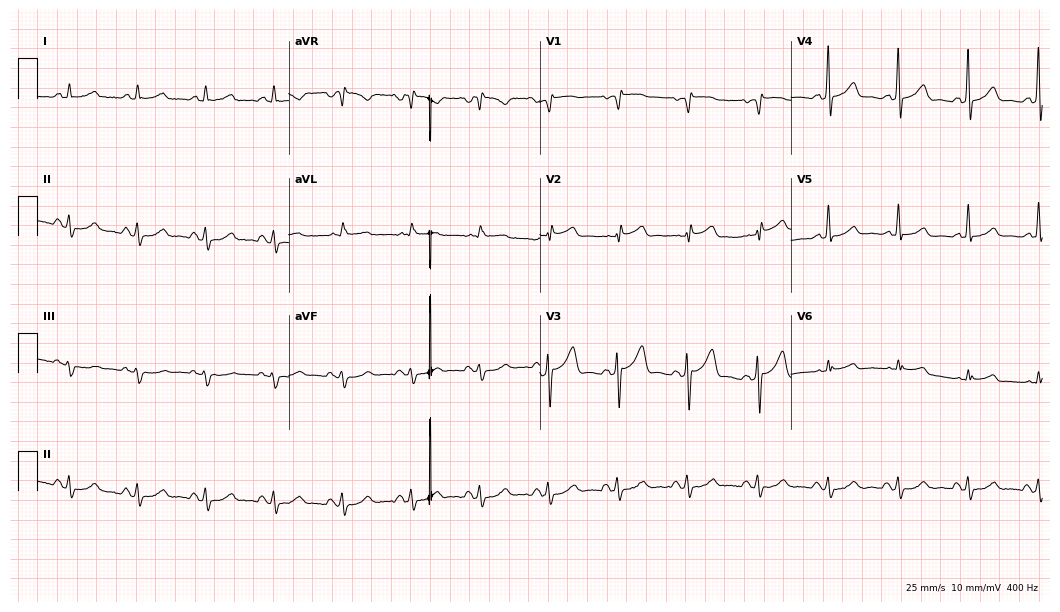
Resting 12-lead electrocardiogram (10.2-second recording at 400 Hz). Patient: a 58-year-old male. Read as a normal ECG.